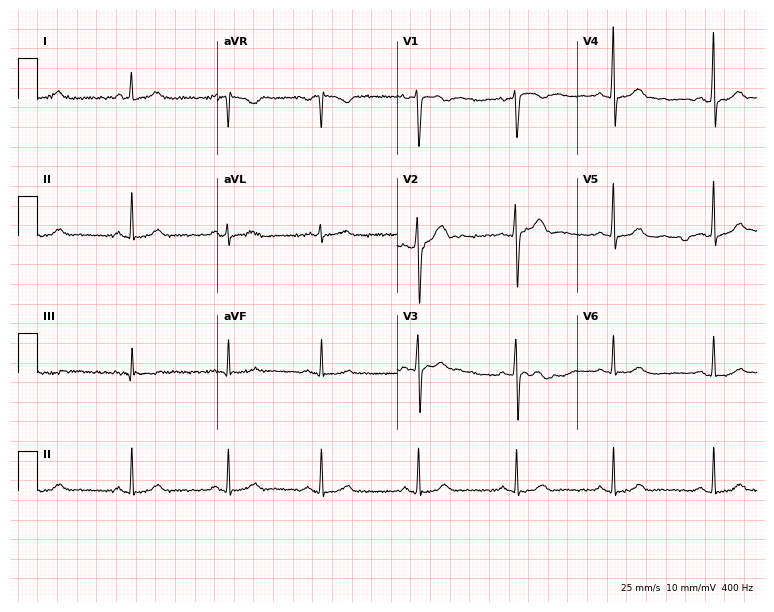
Resting 12-lead electrocardiogram. Patient: a man, 39 years old. Read as a normal ECG.